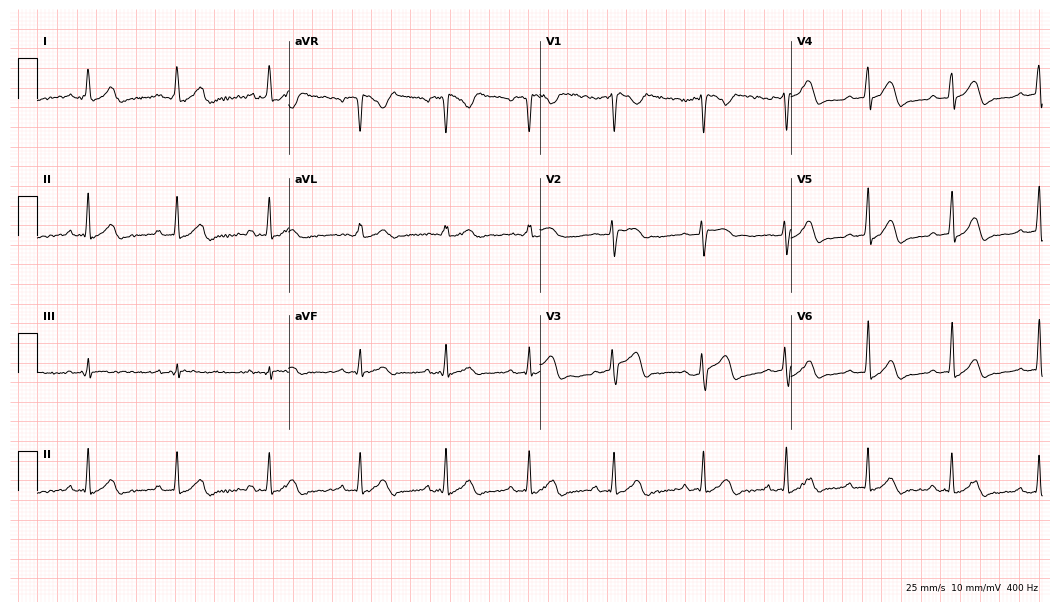
Resting 12-lead electrocardiogram (10.2-second recording at 400 Hz). Patient: a 19-year-old female. Read as a normal ECG.